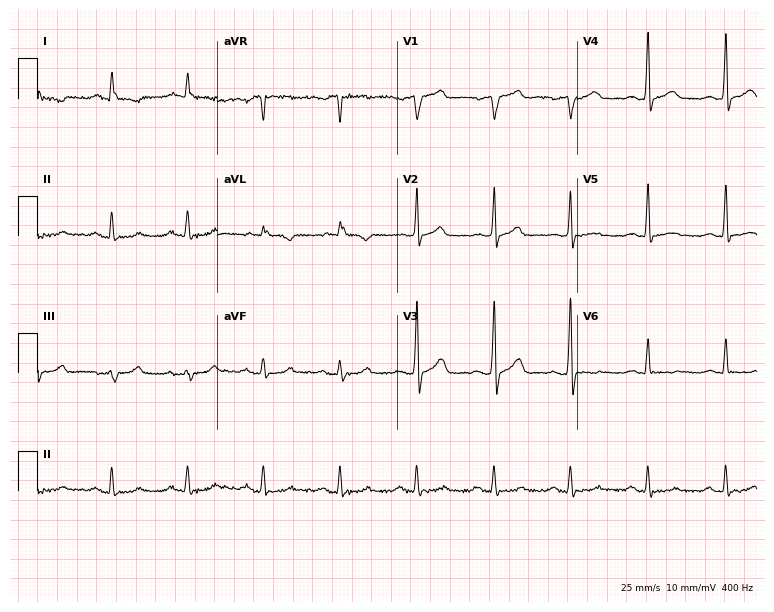
Resting 12-lead electrocardiogram. Patient: a male, 70 years old. None of these six findings is recorded: first-degree AV block, right bundle branch block (RBBB), left bundle branch block (LBBB), sinus bradycardia, atrial fibrillation (AF), sinus tachycardia. Only these six findings were labelled.